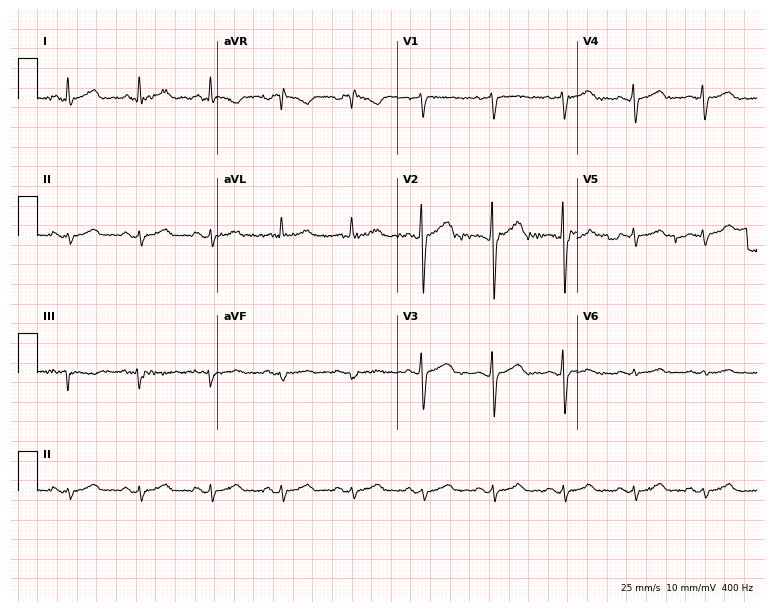
Standard 12-lead ECG recorded from a 72-year-old woman. None of these six findings is recorded: first-degree AV block, right bundle branch block, left bundle branch block, sinus bradycardia, atrial fibrillation, sinus tachycardia. Other findings, if any, are not listed.